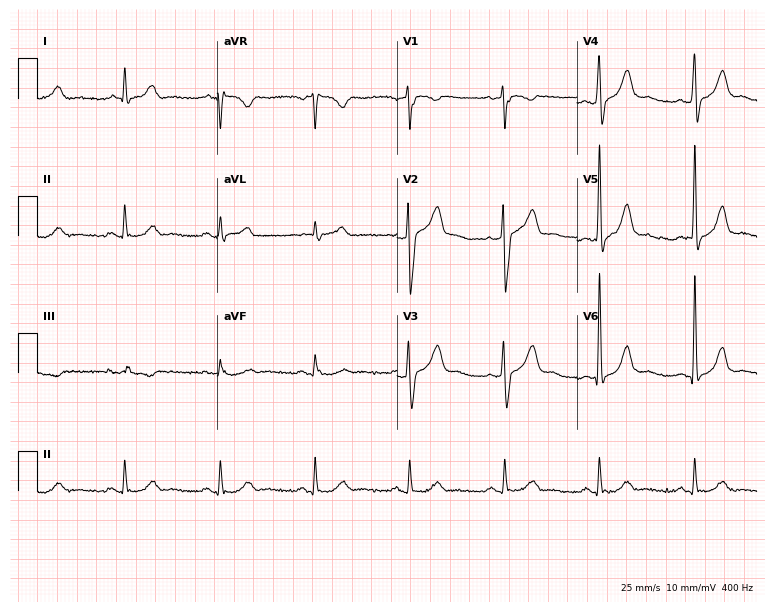
ECG (7.3-second recording at 400 Hz) — a 71-year-old man. Screened for six findings — first-degree AV block, right bundle branch block, left bundle branch block, sinus bradycardia, atrial fibrillation, sinus tachycardia — none is recorded.